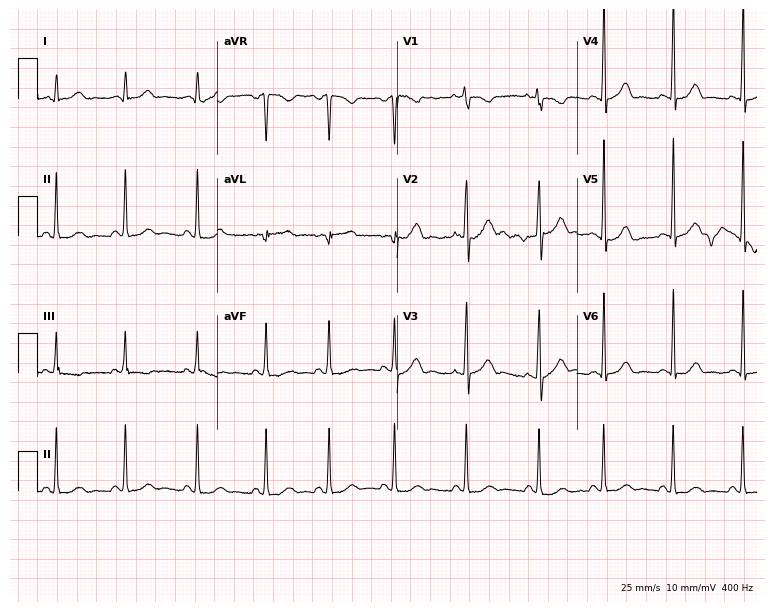
12-lead ECG (7.3-second recording at 400 Hz) from a woman, 17 years old. Screened for six findings — first-degree AV block, right bundle branch block, left bundle branch block, sinus bradycardia, atrial fibrillation, sinus tachycardia — none is recorded.